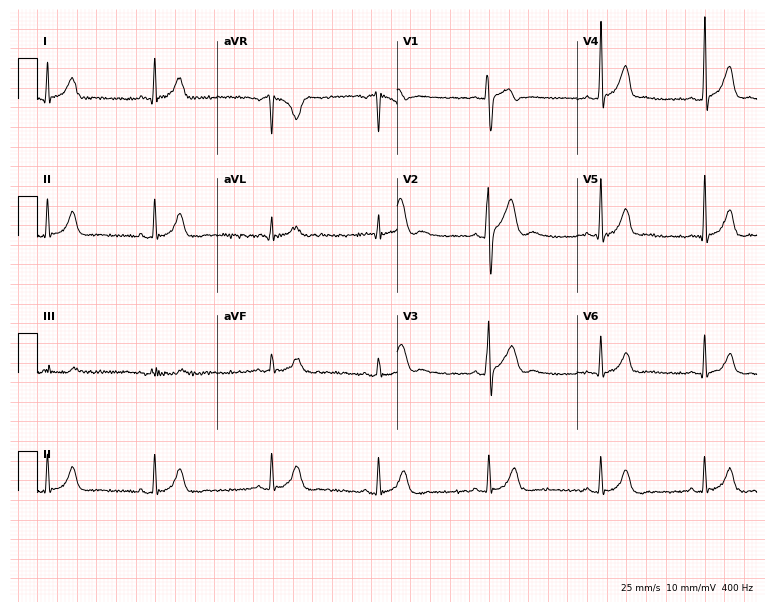
12-lead ECG from a 23-year-old man (7.3-second recording at 400 Hz). Recorded interpretation: within normal limits.